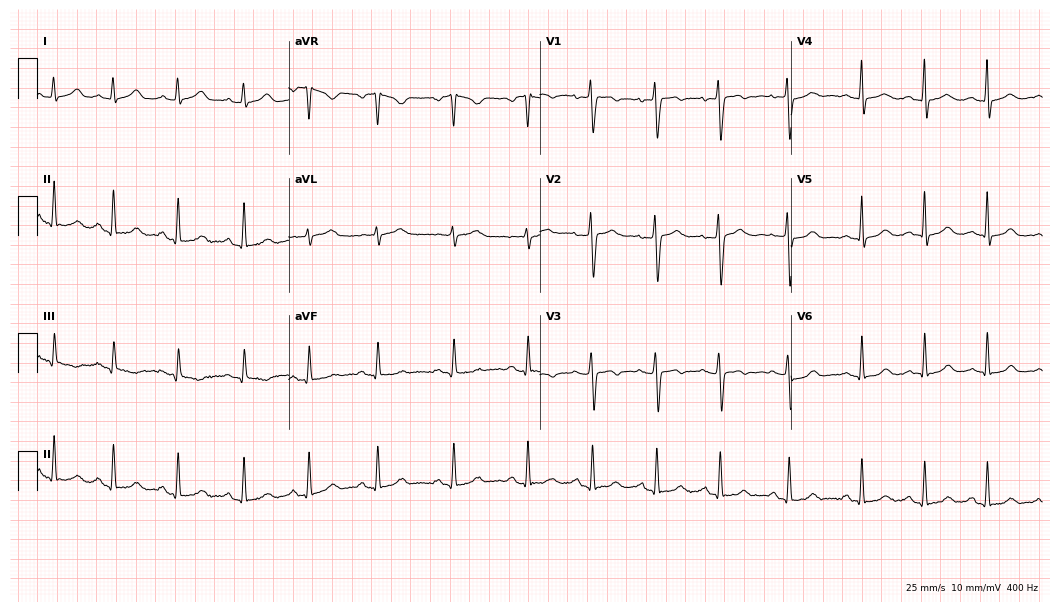
ECG — a female, 31 years old. Labelled as a normal ECG.